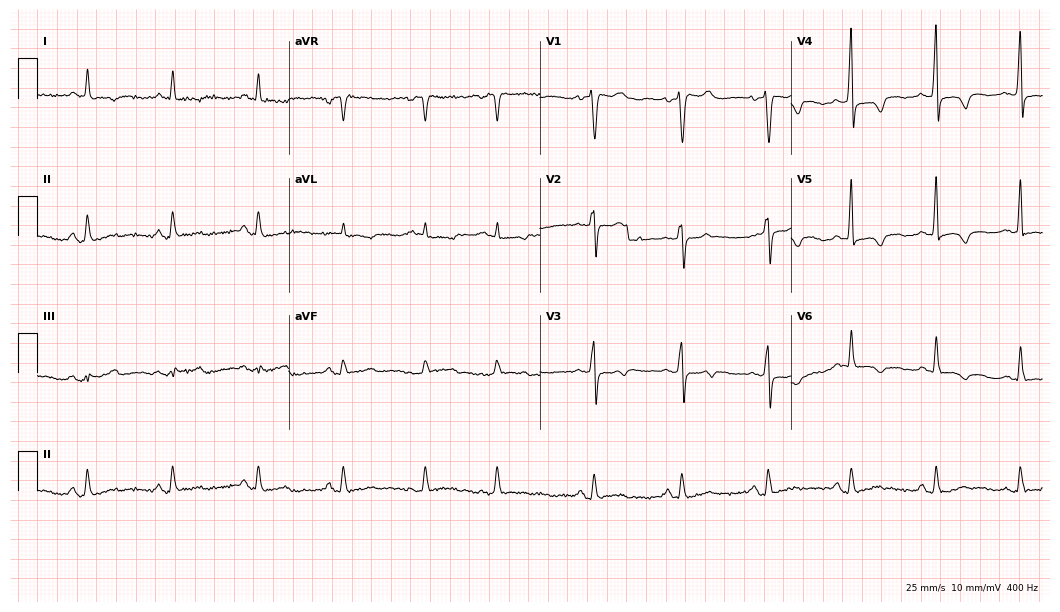
Electrocardiogram (10.2-second recording at 400 Hz), a 76-year-old female. Of the six screened findings (first-degree AV block, right bundle branch block, left bundle branch block, sinus bradycardia, atrial fibrillation, sinus tachycardia), none is recorded.